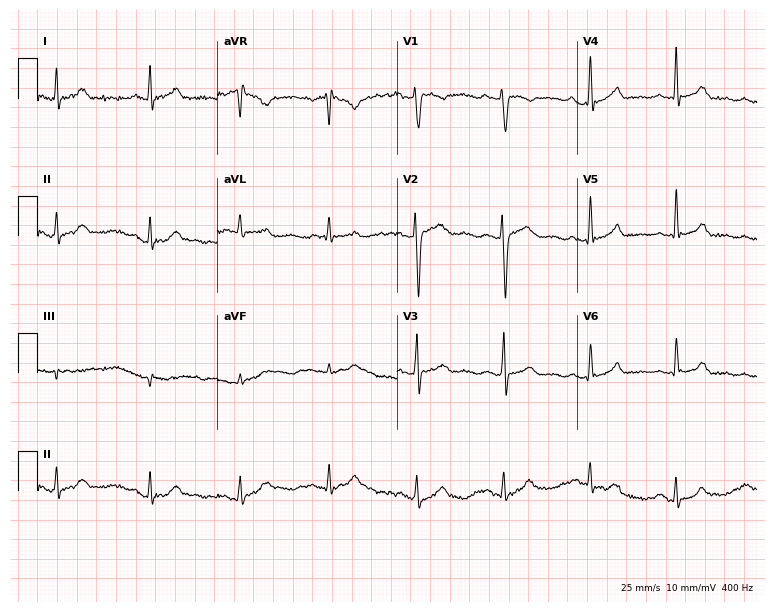
12-lead ECG (7.3-second recording at 400 Hz) from a man, 38 years old. Labelled as a normal ECG.